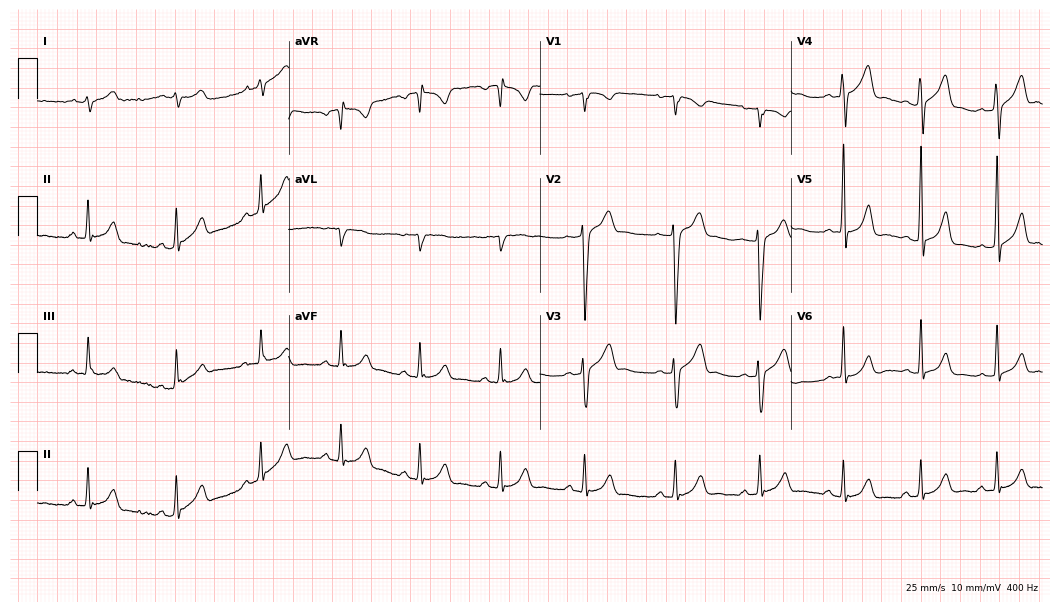
12-lead ECG (10.2-second recording at 400 Hz) from a 33-year-old male. Screened for six findings — first-degree AV block, right bundle branch block (RBBB), left bundle branch block (LBBB), sinus bradycardia, atrial fibrillation (AF), sinus tachycardia — none is recorded.